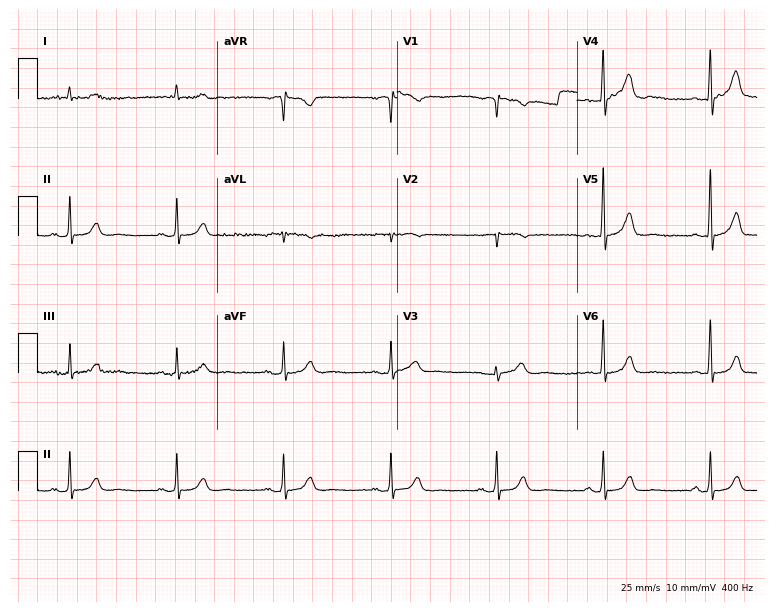
ECG (7.3-second recording at 400 Hz) — an 80-year-old male patient. Labelled as a normal ECG.